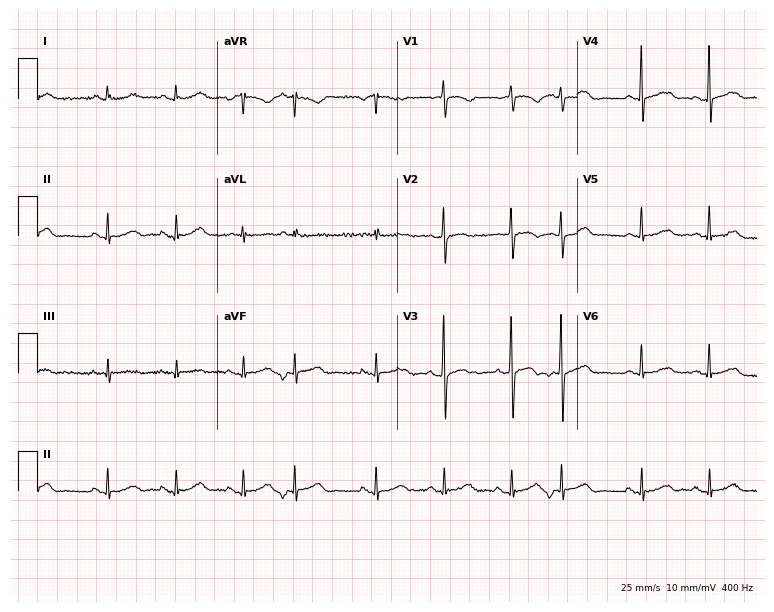
Electrocardiogram (7.3-second recording at 400 Hz), a female patient, 77 years old. Of the six screened findings (first-degree AV block, right bundle branch block (RBBB), left bundle branch block (LBBB), sinus bradycardia, atrial fibrillation (AF), sinus tachycardia), none is recorded. Findings outside these six are not listed.